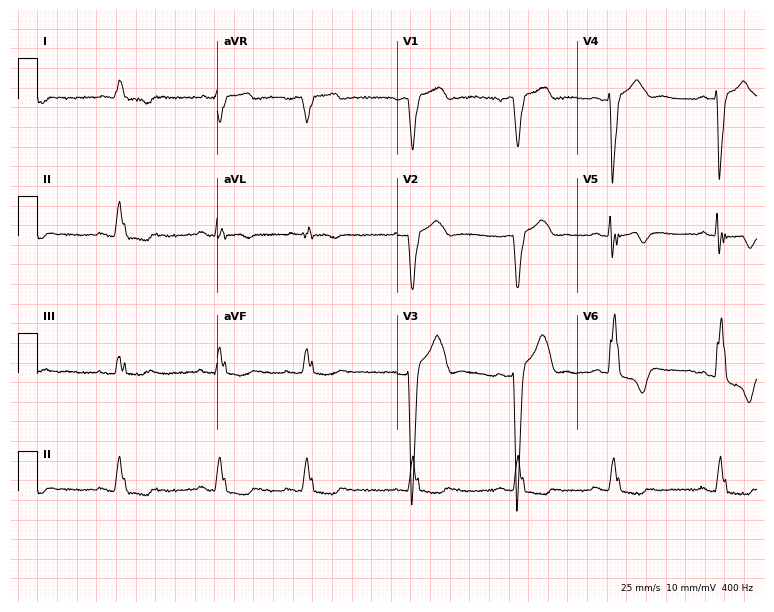
Standard 12-lead ECG recorded from an 84-year-old male patient (7.3-second recording at 400 Hz). The tracing shows left bundle branch block.